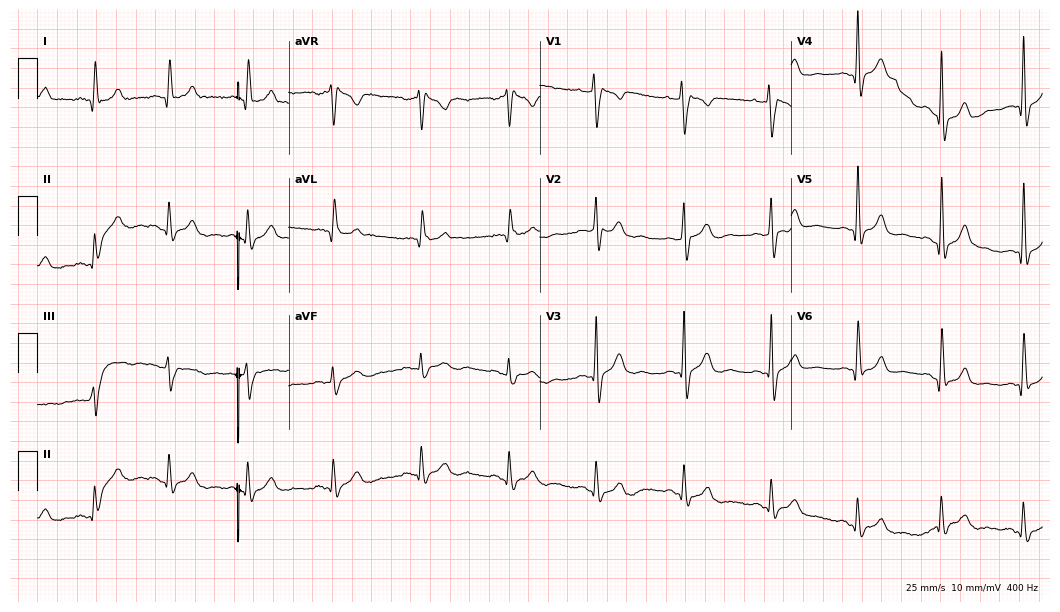
ECG (10.2-second recording at 400 Hz) — a man, 36 years old. Screened for six findings — first-degree AV block, right bundle branch block, left bundle branch block, sinus bradycardia, atrial fibrillation, sinus tachycardia — none is recorded.